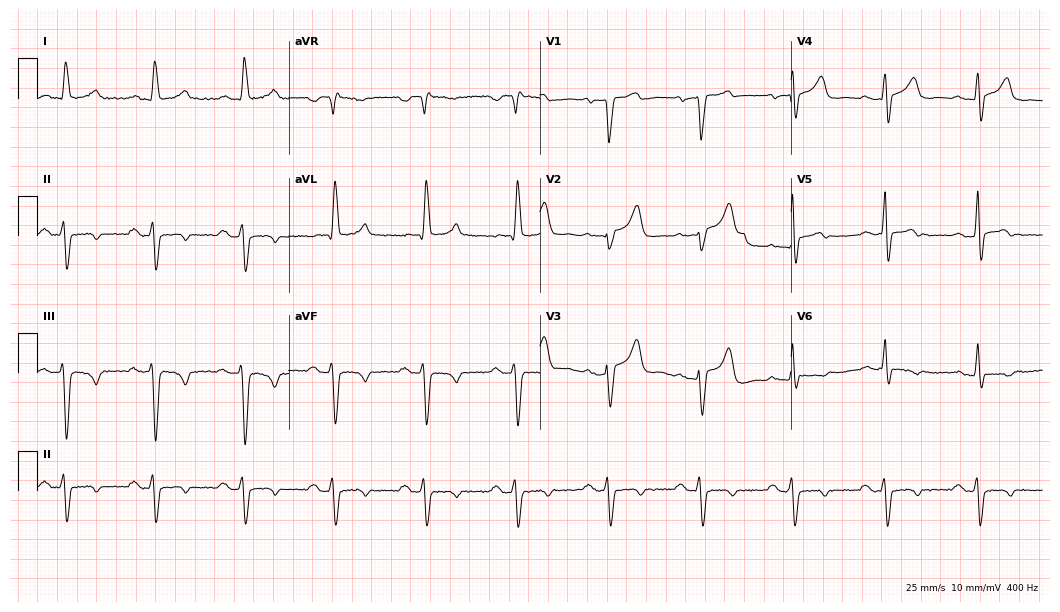
12-lead ECG from a 64-year-old man. No first-degree AV block, right bundle branch block (RBBB), left bundle branch block (LBBB), sinus bradycardia, atrial fibrillation (AF) or sinus tachycardia recorded for this tracing.